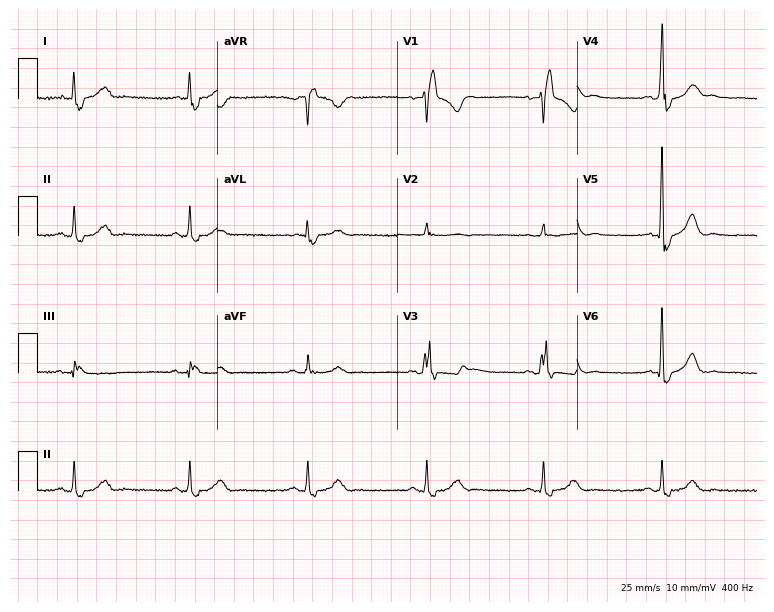
ECG — a male, 52 years old. Findings include right bundle branch block, sinus bradycardia (a sinus rate of 50 beats per minute or less).